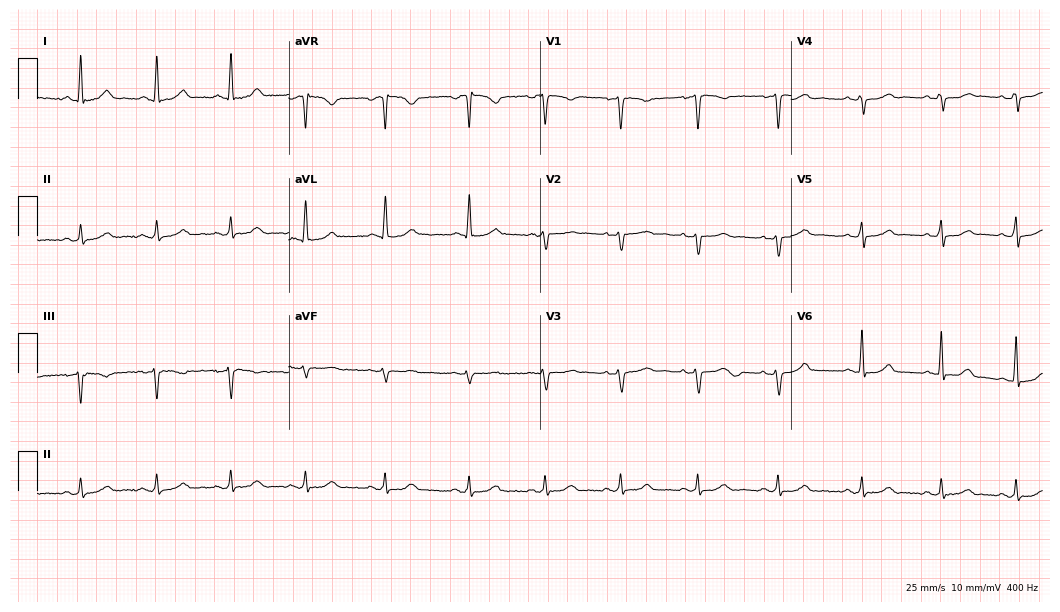
12-lead ECG from a woman, 45 years old. No first-degree AV block, right bundle branch block (RBBB), left bundle branch block (LBBB), sinus bradycardia, atrial fibrillation (AF) or sinus tachycardia recorded for this tracing.